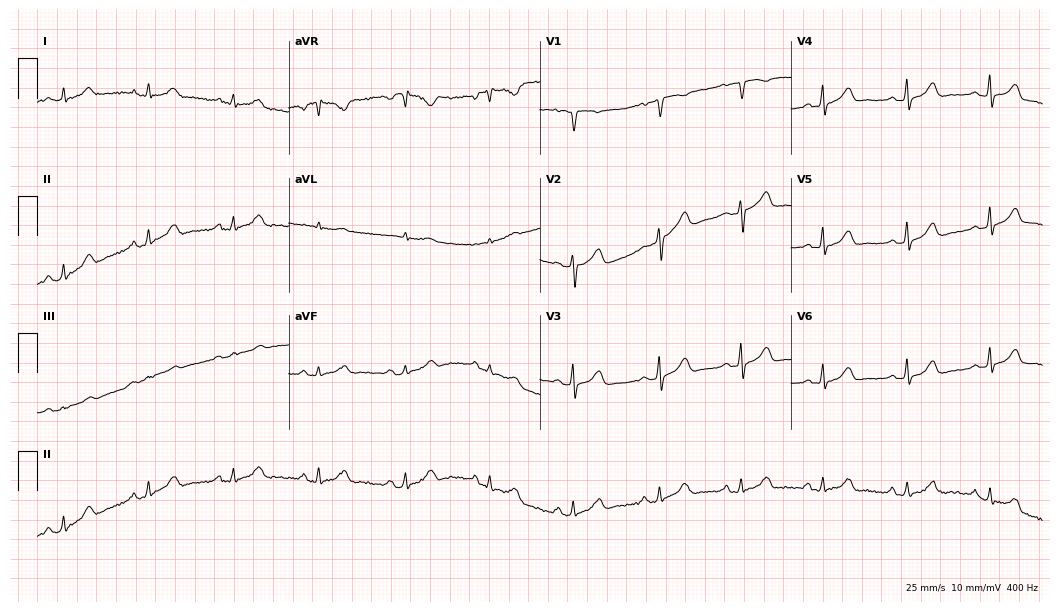
Resting 12-lead electrocardiogram. Patient: a female, 37 years old. None of these six findings is recorded: first-degree AV block, right bundle branch block, left bundle branch block, sinus bradycardia, atrial fibrillation, sinus tachycardia.